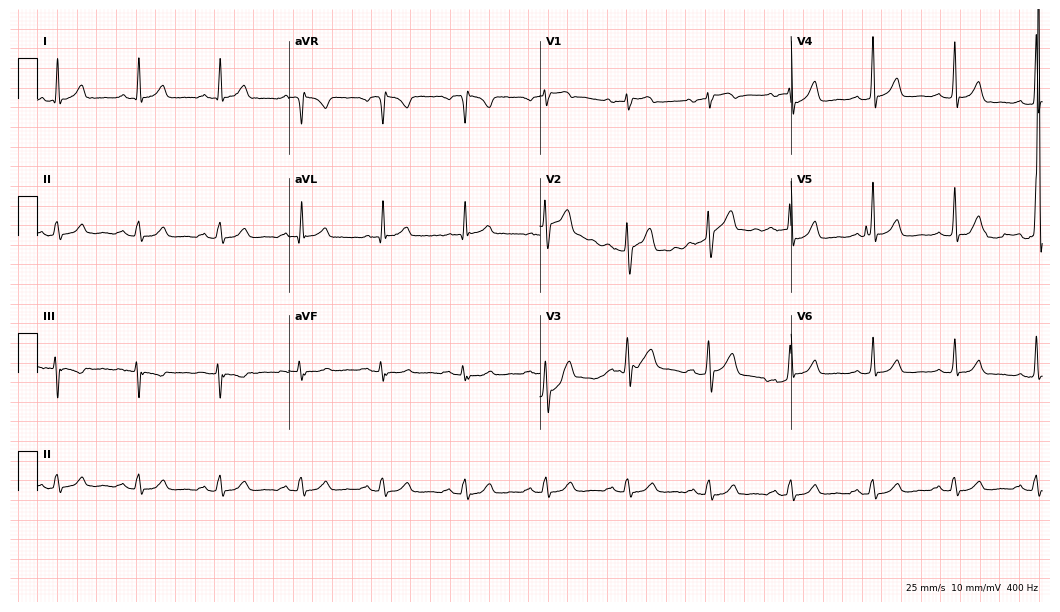
12-lead ECG (10.2-second recording at 400 Hz) from a 55-year-old male patient. Screened for six findings — first-degree AV block, right bundle branch block (RBBB), left bundle branch block (LBBB), sinus bradycardia, atrial fibrillation (AF), sinus tachycardia — none is recorded. Other findings, if any, are not listed.